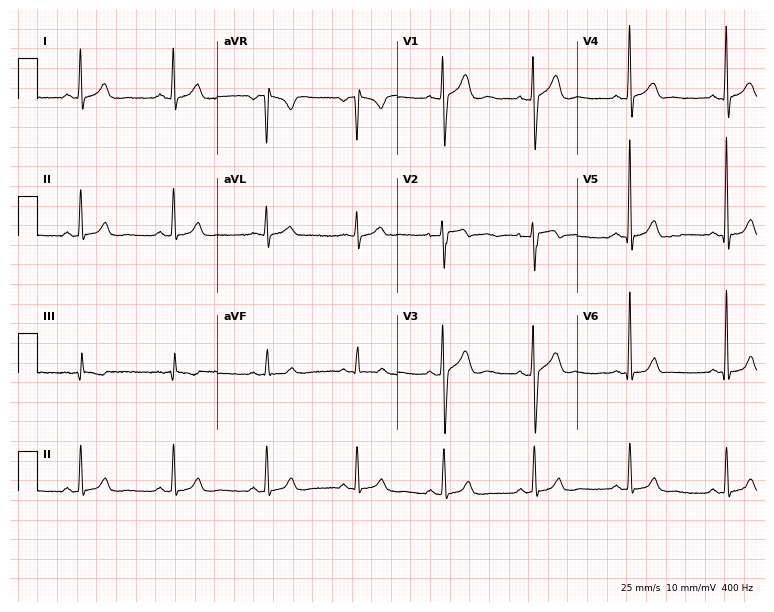
ECG (7.3-second recording at 400 Hz) — a man, 32 years old. Labelled as a normal ECG.